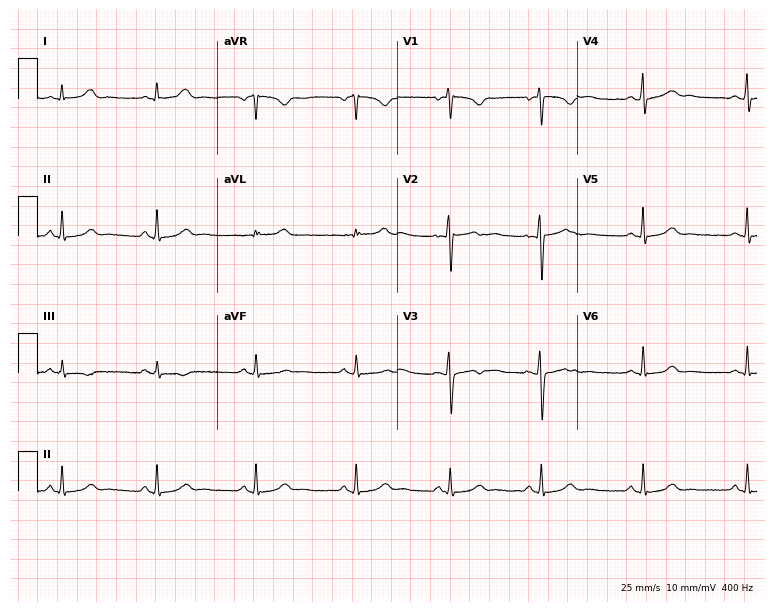
12-lead ECG from a female patient, 32 years old (7.3-second recording at 400 Hz). Recorded interpretation: within normal limits.